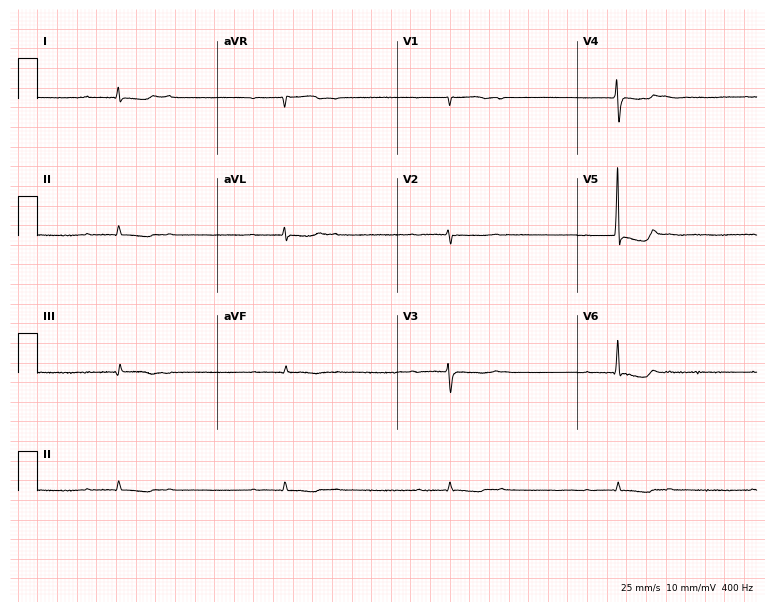
Resting 12-lead electrocardiogram. Patient: a 51-year-old man. None of these six findings is recorded: first-degree AV block, right bundle branch block, left bundle branch block, sinus bradycardia, atrial fibrillation, sinus tachycardia.